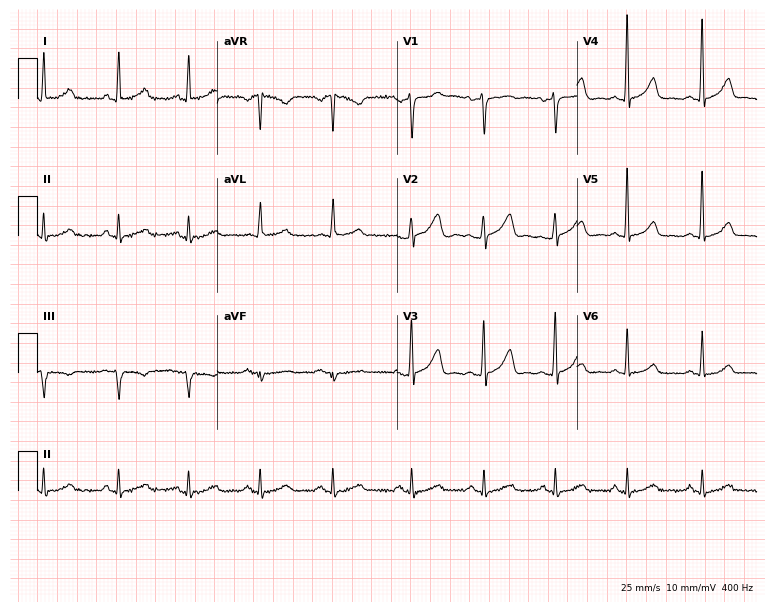
12-lead ECG (7.3-second recording at 400 Hz) from a 44-year-old female. Screened for six findings — first-degree AV block, right bundle branch block (RBBB), left bundle branch block (LBBB), sinus bradycardia, atrial fibrillation (AF), sinus tachycardia — none is recorded. Only these six findings were labelled.